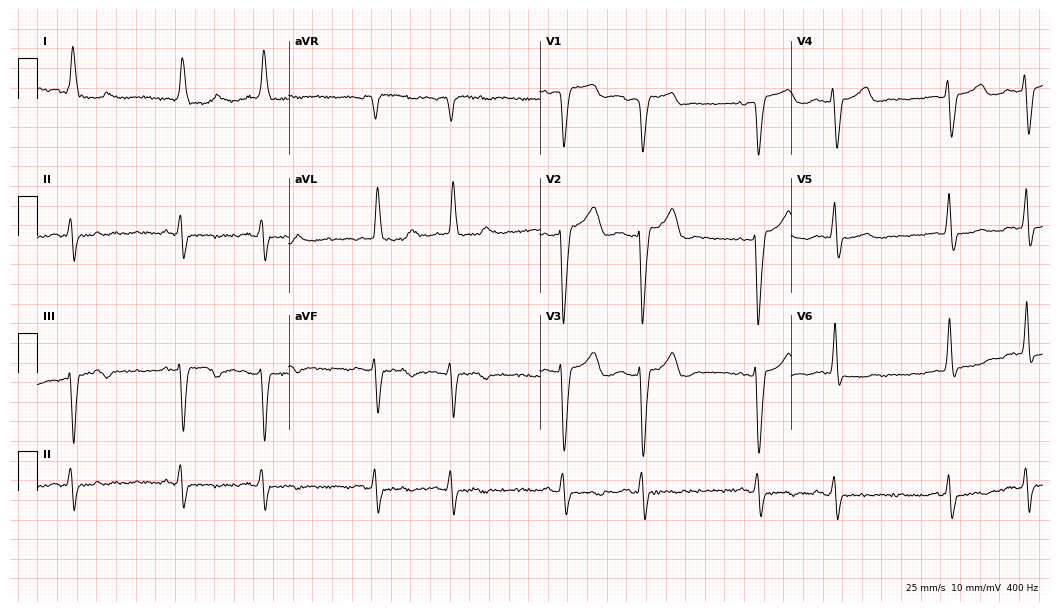
12-lead ECG from a female patient, 83 years old. Findings include left bundle branch block, atrial fibrillation.